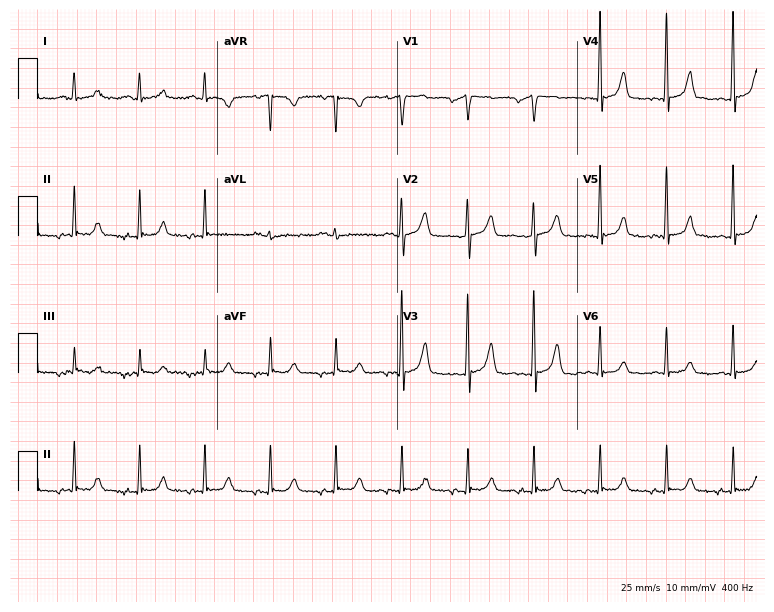
Electrocardiogram (7.3-second recording at 400 Hz), a female, 66 years old. Overall reading on record: normal ECG.